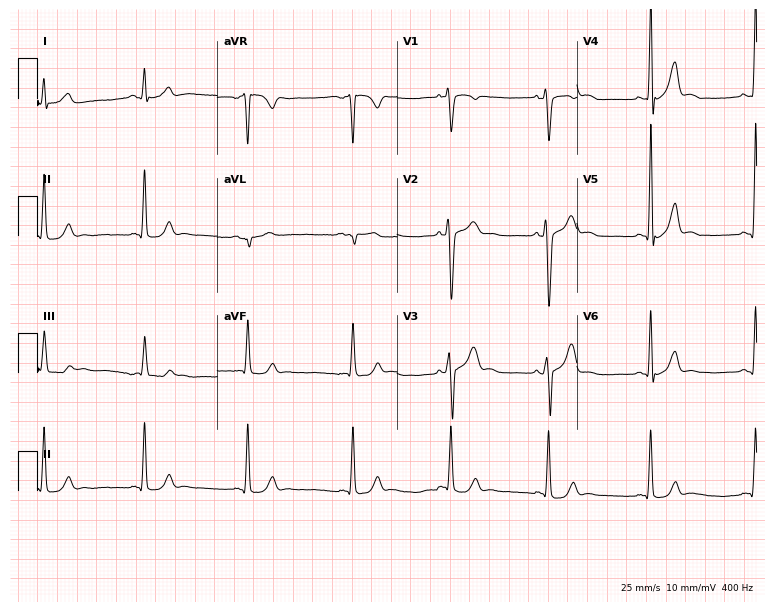
Standard 12-lead ECG recorded from a 21-year-old male patient. None of these six findings is recorded: first-degree AV block, right bundle branch block, left bundle branch block, sinus bradycardia, atrial fibrillation, sinus tachycardia. Findings outside these six are not listed.